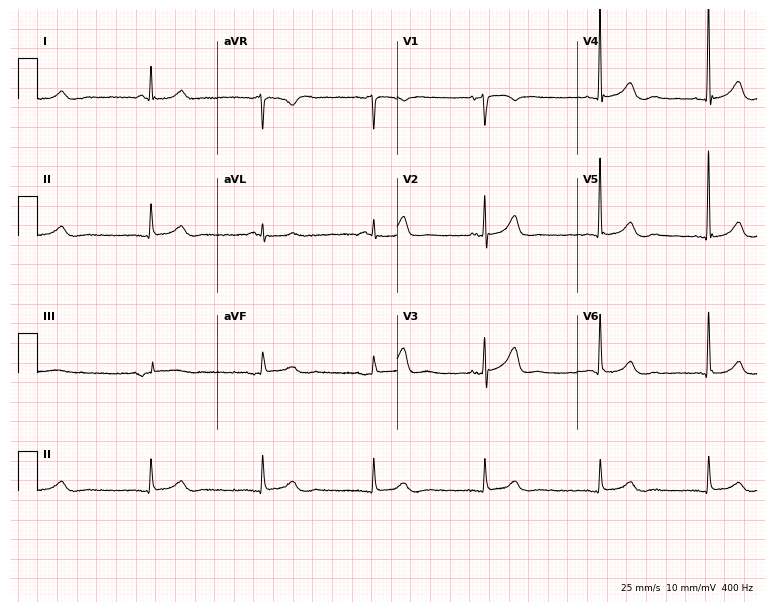
Resting 12-lead electrocardiogram. Patient: a female, 72 years old. Read as a normal ECG.